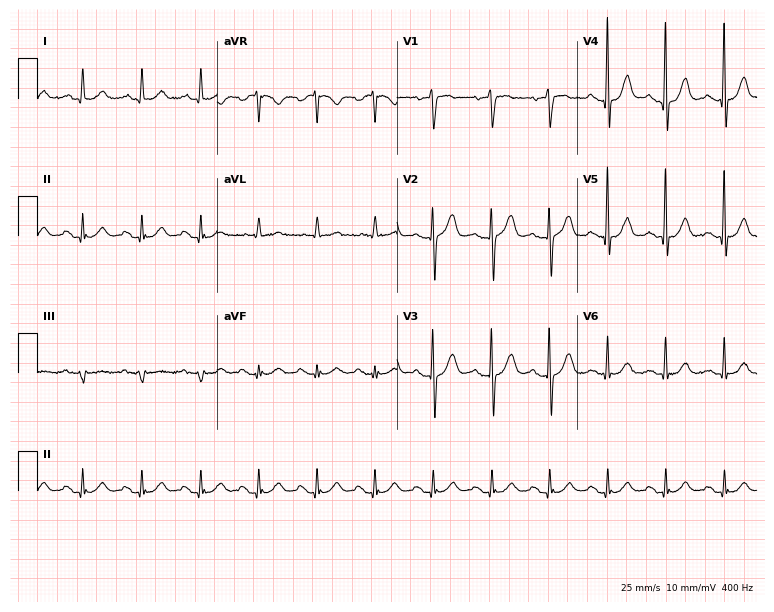
Electrocardiogram, a man, 72 years old. Interpretation includes sinus tachycardia (a sinus rate of 100 beats per minute or more).